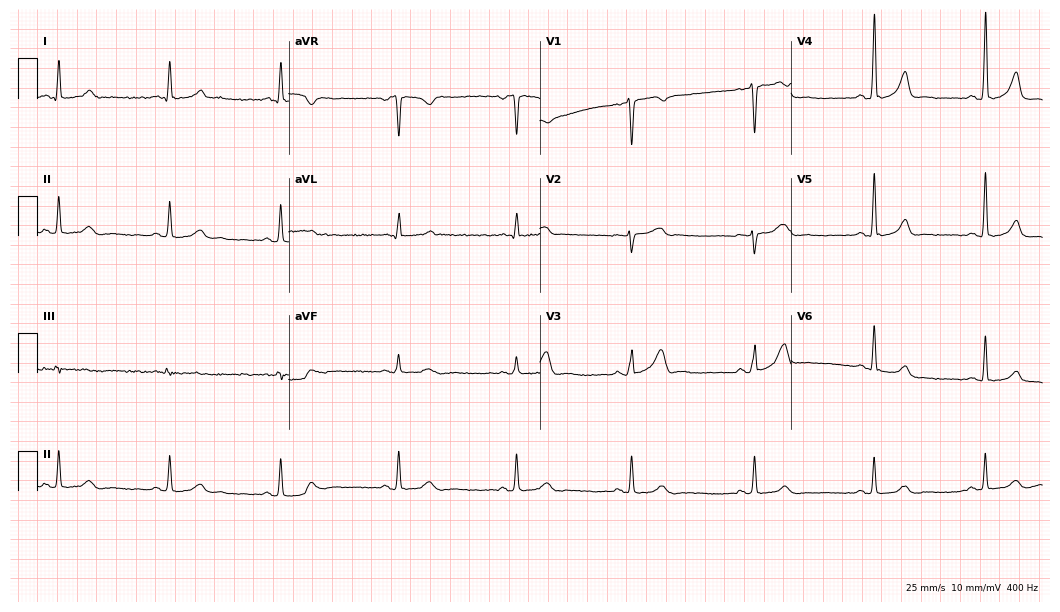
12-lead ECG from a woman, 51 years old (10.2-second recording at 400 Hz). Recorded interpretation: within normal limits.